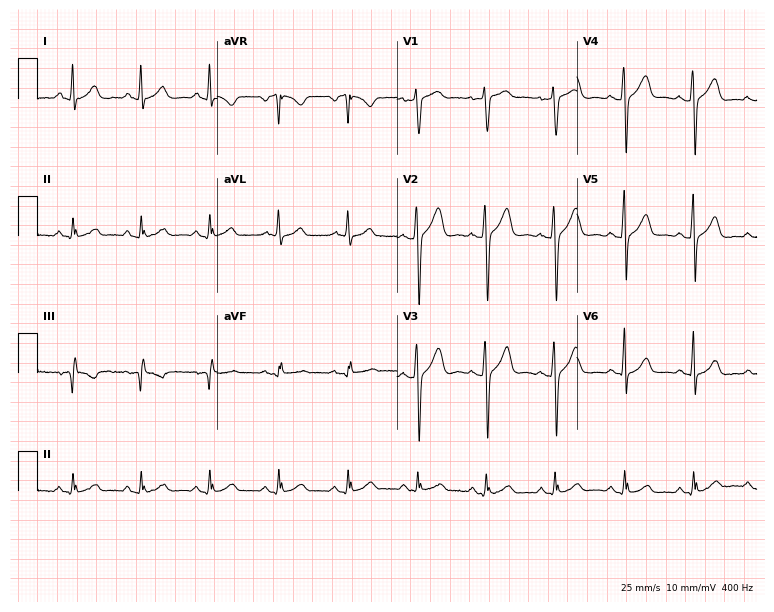
Resting 12-lead electrocardiogram (7.3-second recording at 400 Hz). Patient: a man, 38 years old. Read as a normal ECG.